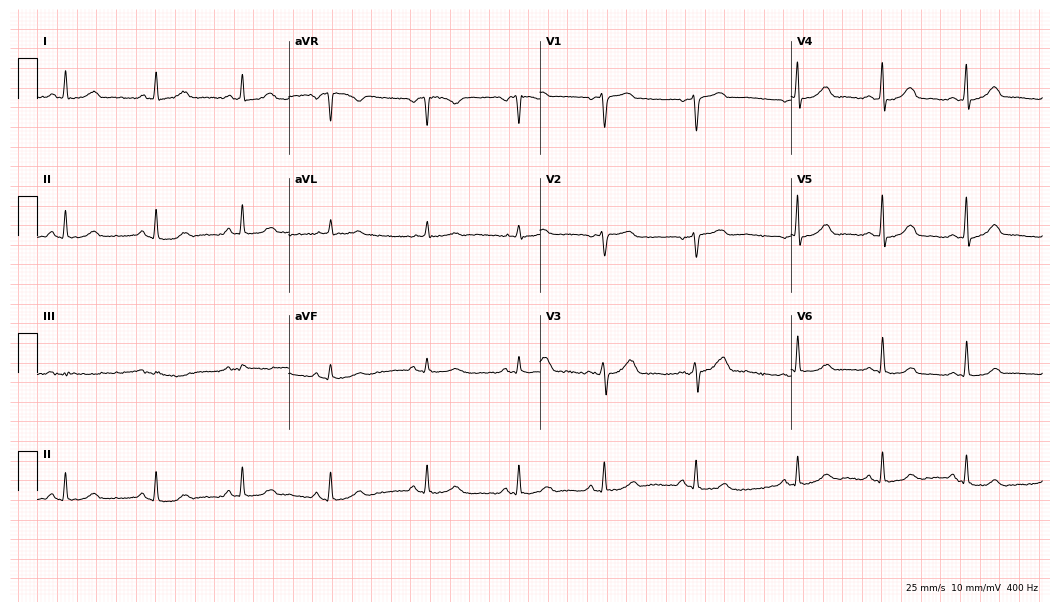
Standard 12-lead ECG recorded from a female, 40 years old. Read as a normal ECG.